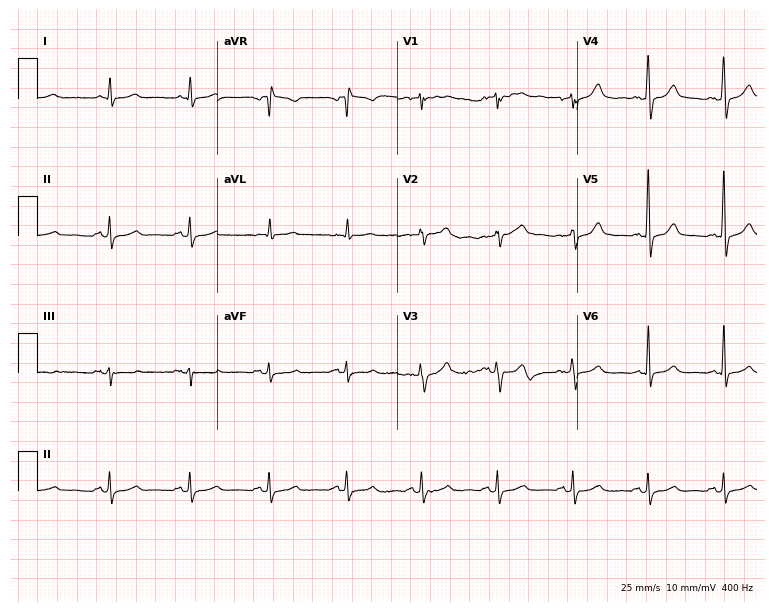
Standard 12-lead ECG recorded from a male patient, 72 years old (7.3-second recording at 400 Hz). Read as a normal ECG.